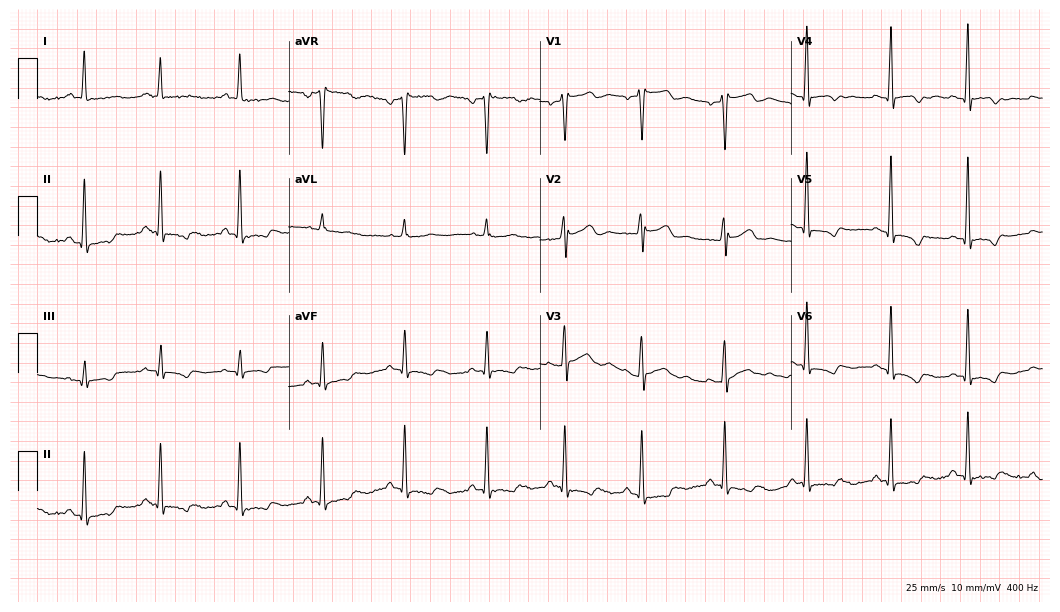
12-lead ECG from a 41-year-old male. Screened for six findings — first-degree AV block, right bundle branch block, left bundle branch block, sinus bradycardia, atrial fibrillation, sinus tachycardia — none is recorded. Findings outside these six are not listed.